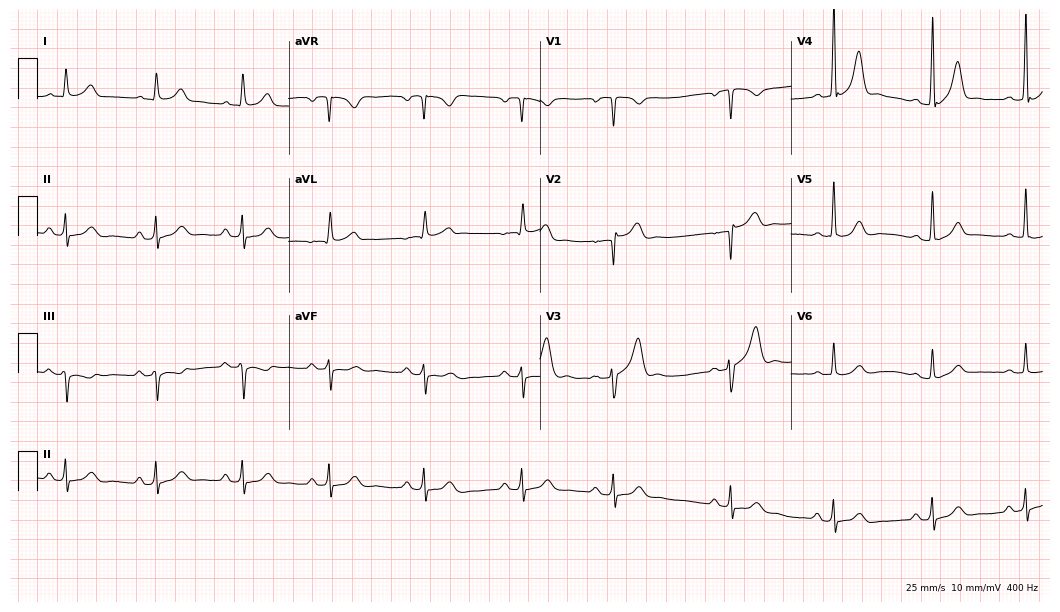
ECG — a man, 63 years old. Screened for six findings — first-degree AV block, right bundle branch block (RBBB), left bundle branch block (LBBB), sinus bradycardia, atrial fibrillation (AF), sinus tachycardia — none is recorded.